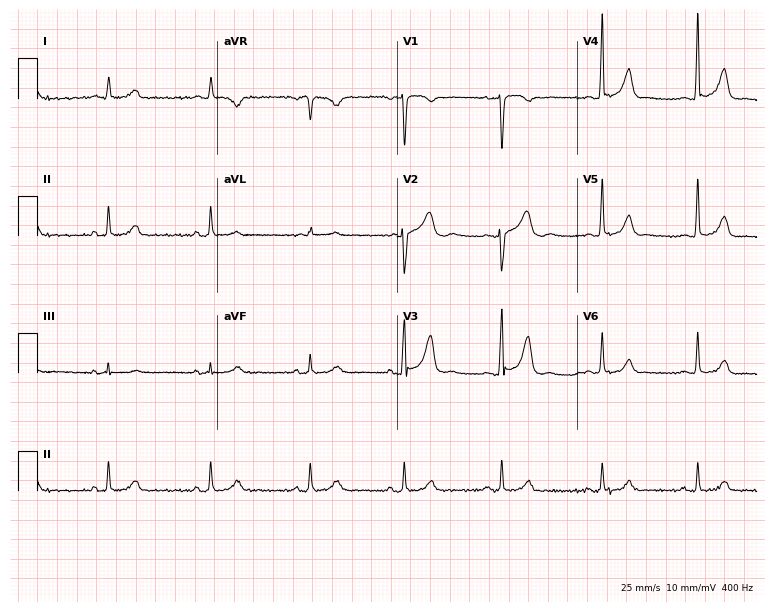
ECG — a female patient, 37 years old. Labelled as a normal ECG.